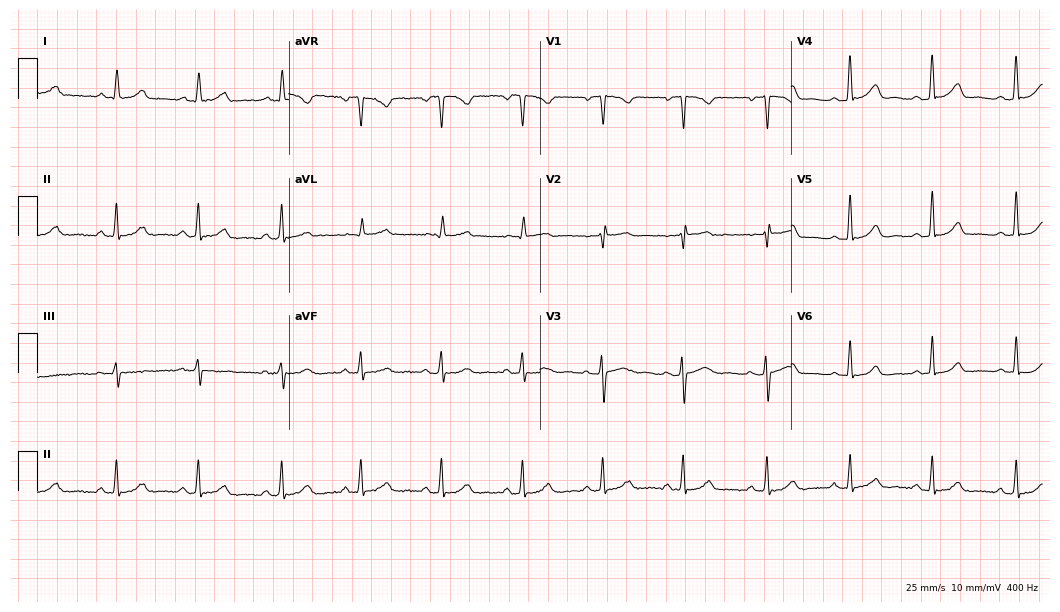
Electrocardiogram (10.2-second recording at 400 Hz), a female patient, 40 years old. Overall reading on record: normal ECG.